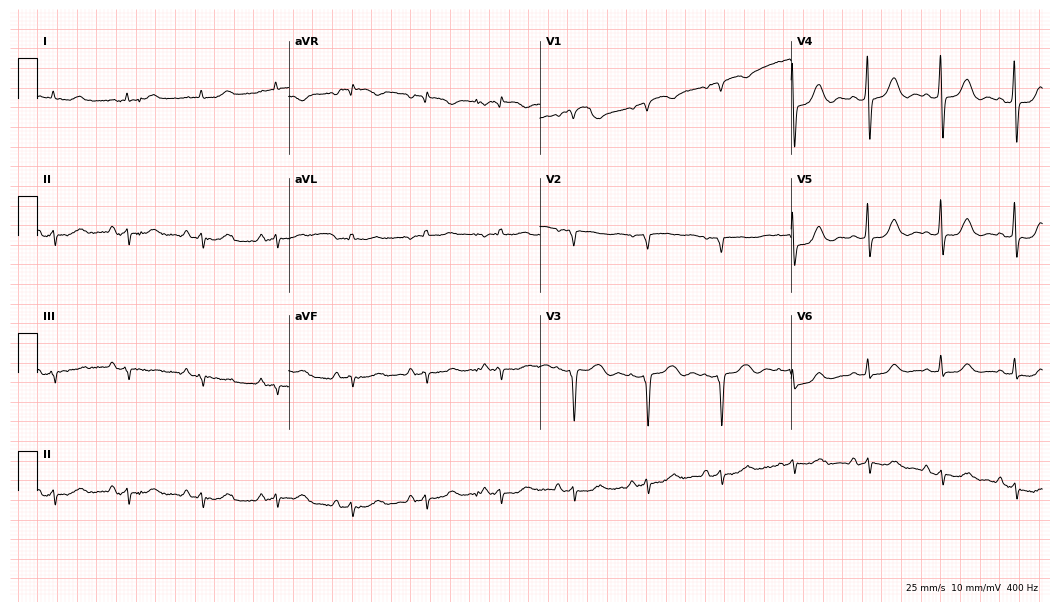
Standard 12-lead ECG recorded from a female, 69 years old (10.2-second recording at 400 Hz). None of these six findings is recorded: first-degree AV block, right bundle branch block (RBBB), left bundle branch block (LBBB), sinus bradycardia, atrial fibrillation (AF), sinus tachycardia. Other findings, if any, are not listed.